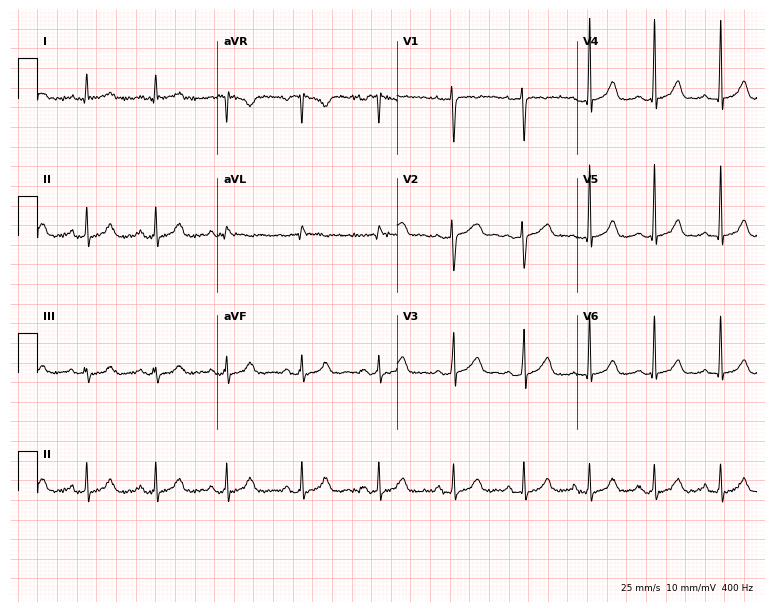
Standard 12-lead ECG recorded from a 32-year-old female patient. None of these six findings is recorded: first-degree AV block, right bundle branch block (RBBB), left bundle branch block (LBBB), sinus bradycardia, atrial fibrillation (AF), sinus tachycardia. Other findings, if any, are not listed.